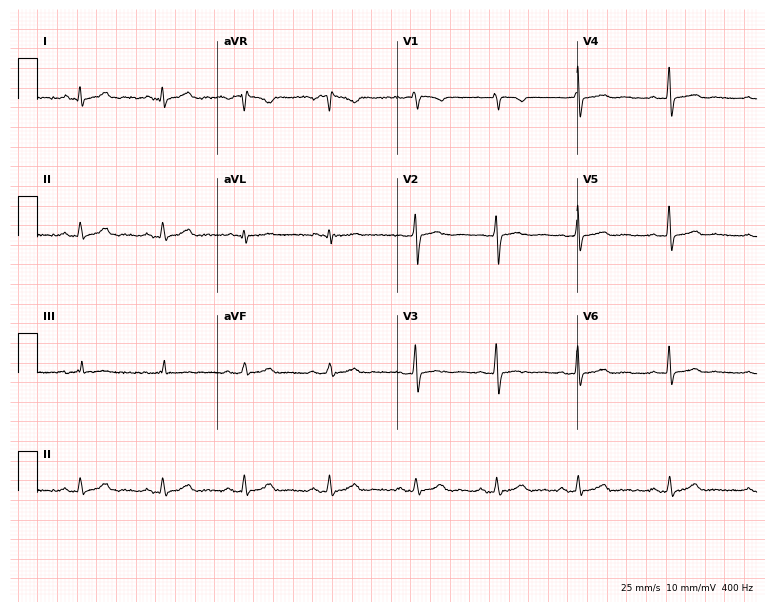
ECG — a woman, 33 years old. Screened for six findings — first-degree AV block, right bundle branch block (RBBB), left bundle branch block (LBBB), sinus bradycardia, atrial fibrillation (AF), sinus tachycardia — none is recorded.